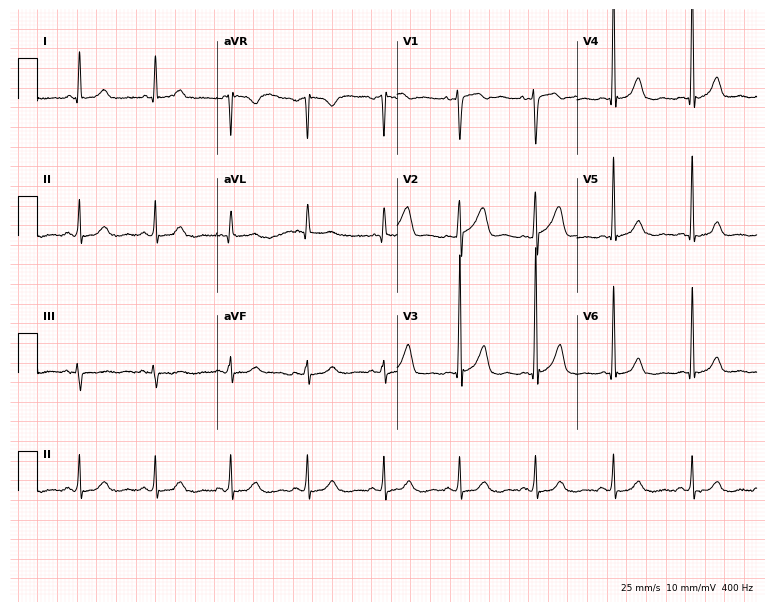
Standard 12-lead ECG recorded from a male, 62 years old (7.3-second recording at 400 Hz). None of these six findings is recorded: first-degree AV block, right bundle branch block, left bundle branch block, sinus bradycardia, atrial fibrillation, sinus tachycardia. Findings outside these six are not listed.